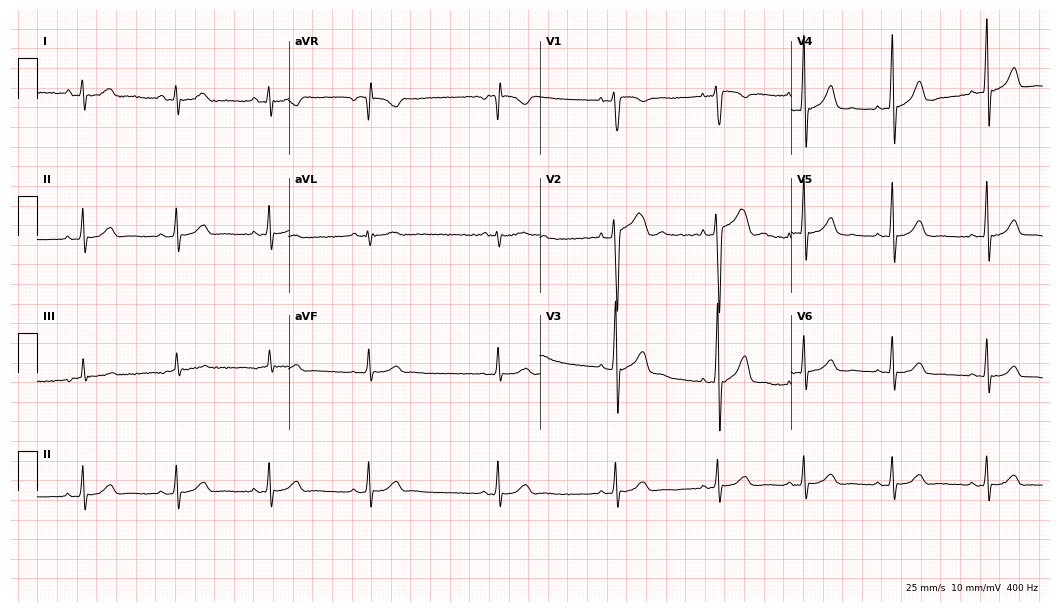
Standard 12-lead ECG recorded from a man, 20 years old. Read as a normal ECG.